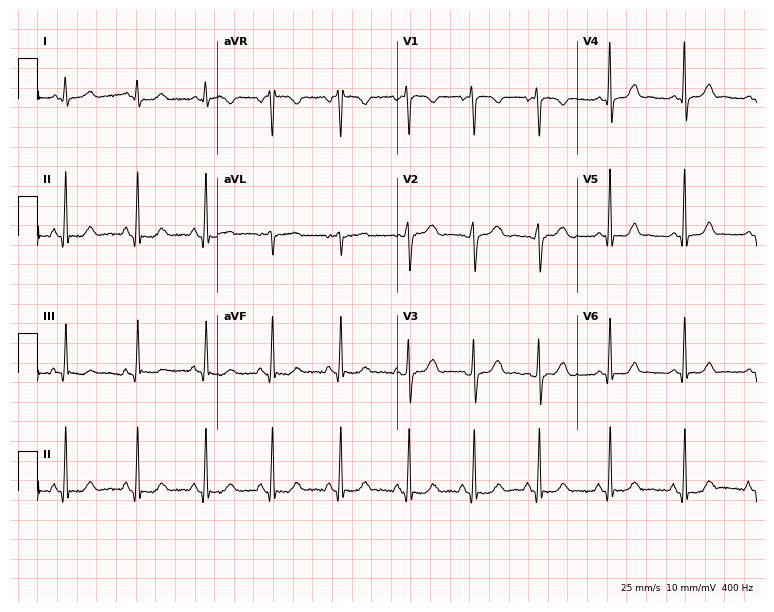
12-lead ECG from a female patient, 44 years old (7.3-second recording at 400 Hz). No first-degree AV block, right bundle branch block, left bundle branch block, sinus bradycardia, atrial fibrillation or sinus tachycardia recorded for this tracing.